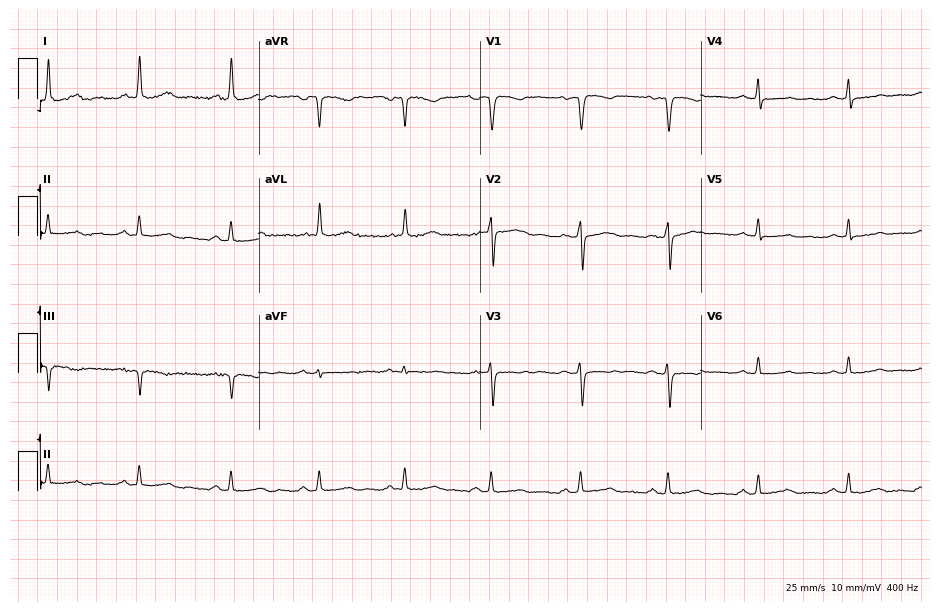
12-lead ECG from a female, 58 years old. Screened for six findings — first-degree AV block, right bundle branch block, left bundle branch block, sinus bradycardia, atrial fibrillation, sinus tachycardia — none is recorded.